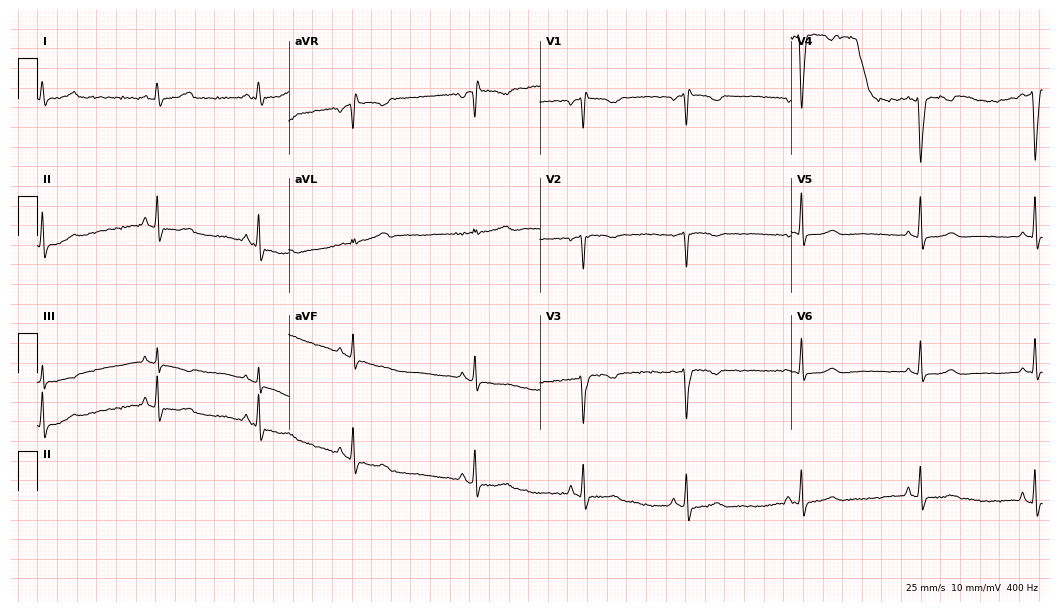
12-lead ECG from a 17-year-old female patient. No first-degree AV block, right bundle branch block, left bundle branch block, sinus bradycardia, atrial fibrillation or sinus tachycardia recorded for this tracing.